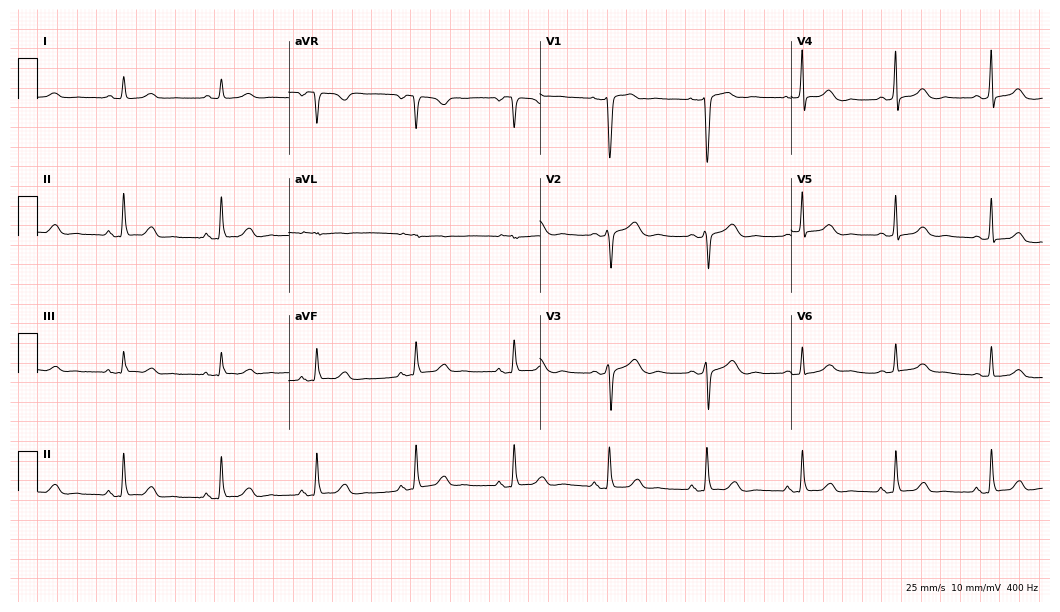
12-lead ECG from a female patient, 44 years old. Labelled as a normal ECG.